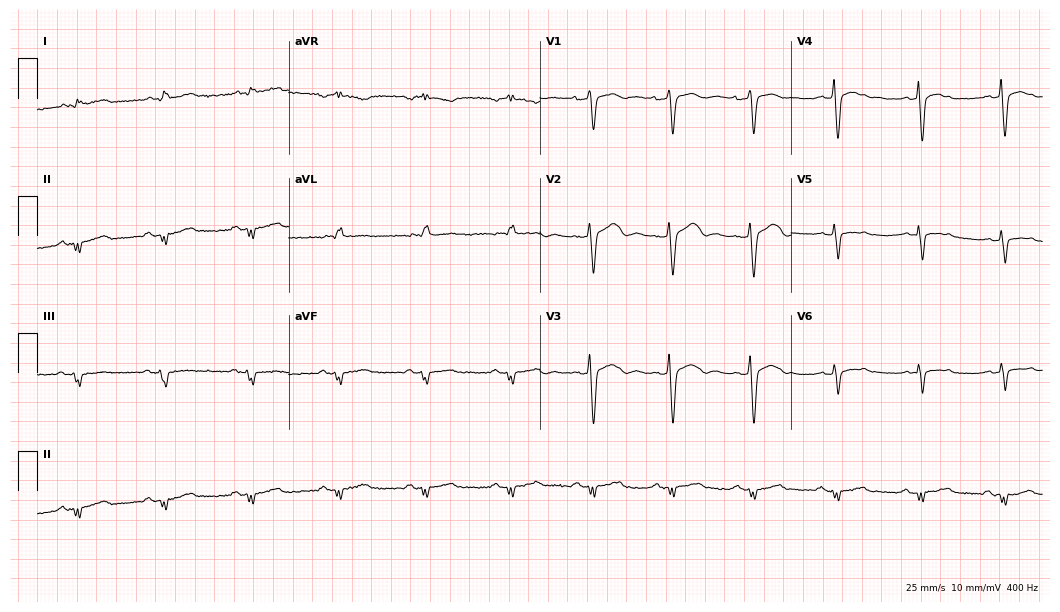
12-lead ECG from a 42-year-old male. No first-degree AV block, right bundle branch block, left bundle branch block, sinus bradycardia, atrial fibrillation or sinus tachycardia recorded for this tracing.